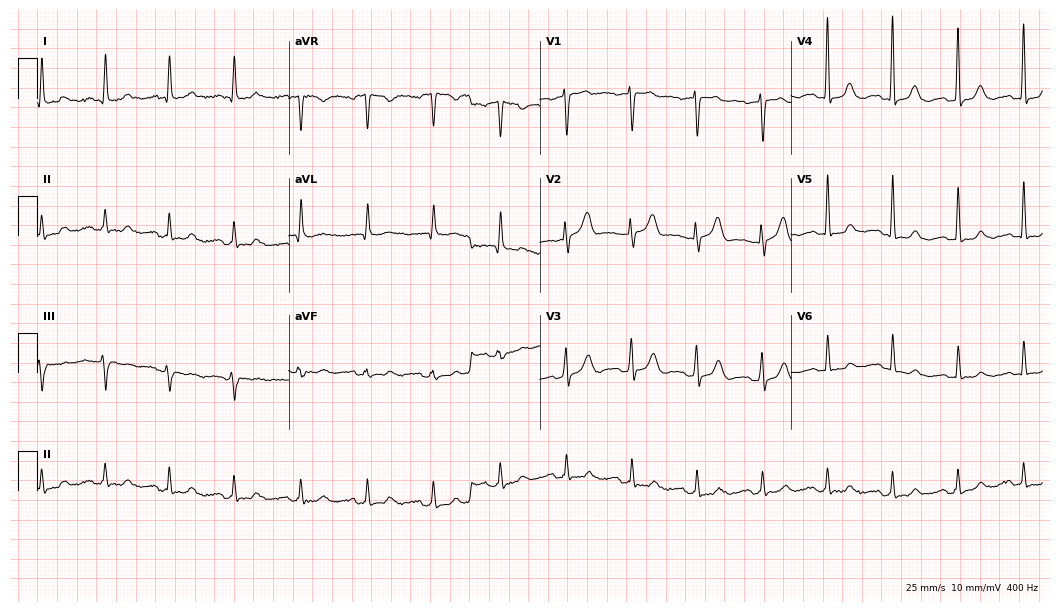
12-lead ECG (10.2-second recording at 400 Hz) from a male patient, 77 years old. Labelled as a normal ECG.